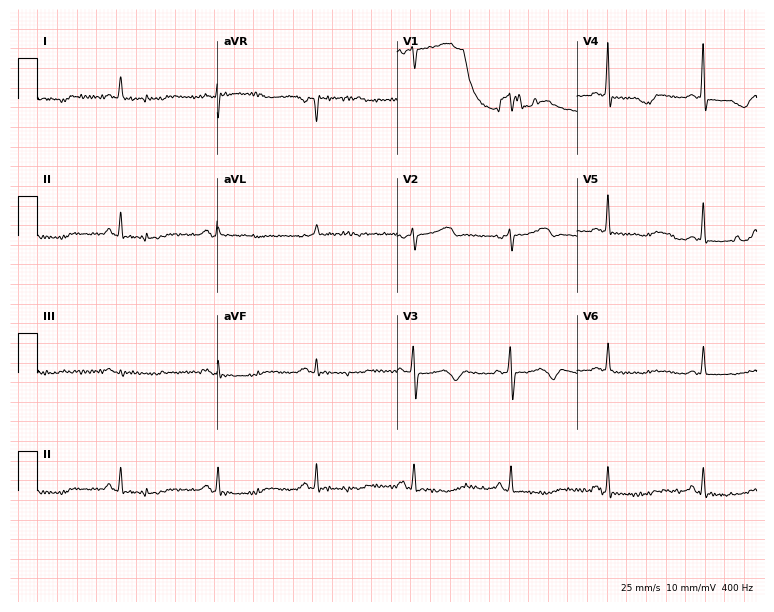
12-lead ECG from a woman, 62 years old. No first-degree AV block, right bundle branch block, left bundle branch block, sinus bradycardia, atrial fibrillation or sinus tachycardia recorded for this tracing.